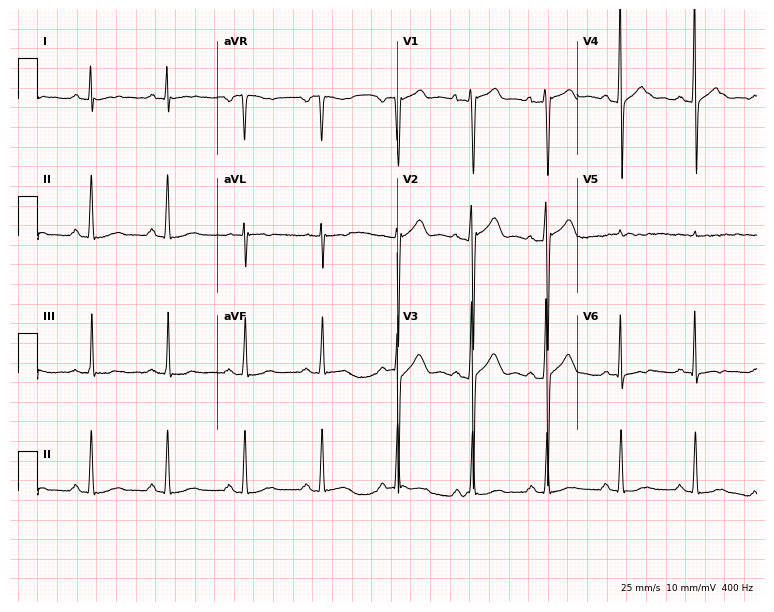
Electrocardiogram (7.3-second recording at 400 Hz), a male patient, 47 years old. Of the six screened findings (first-degree AV block, right bundle branch block, left bundle branch block, sinus bradycardia, atrial fibrillation, sinus tachycardia), none is recorded.